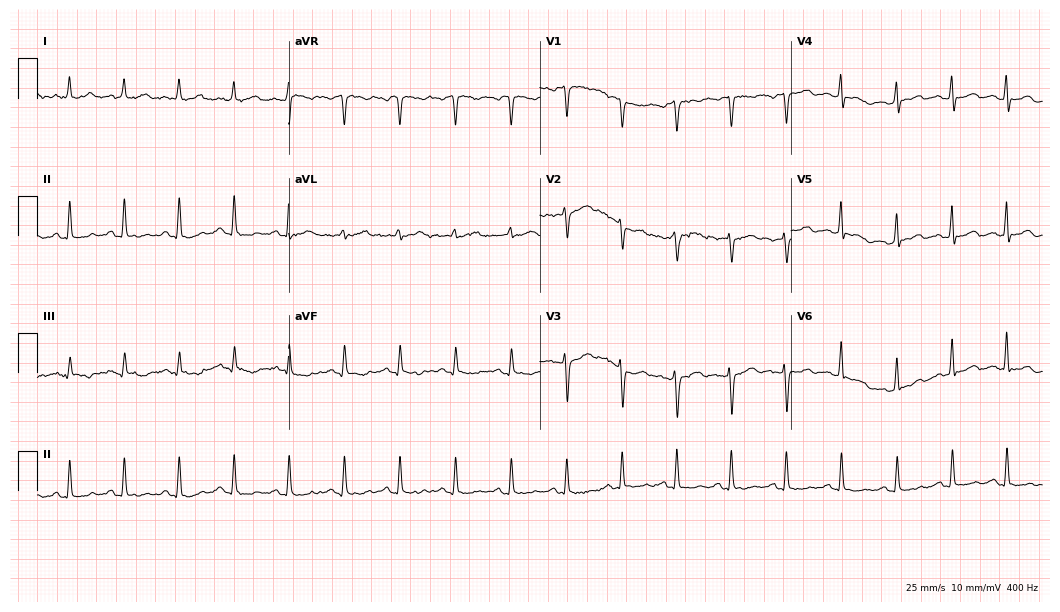
Standard 12-lead ECG recorded from a female, 45 years old (10.2-second recording at 400 Hz). The tracing shows sinus tachycardia (a sinus rate of 100 beats per minute or more).